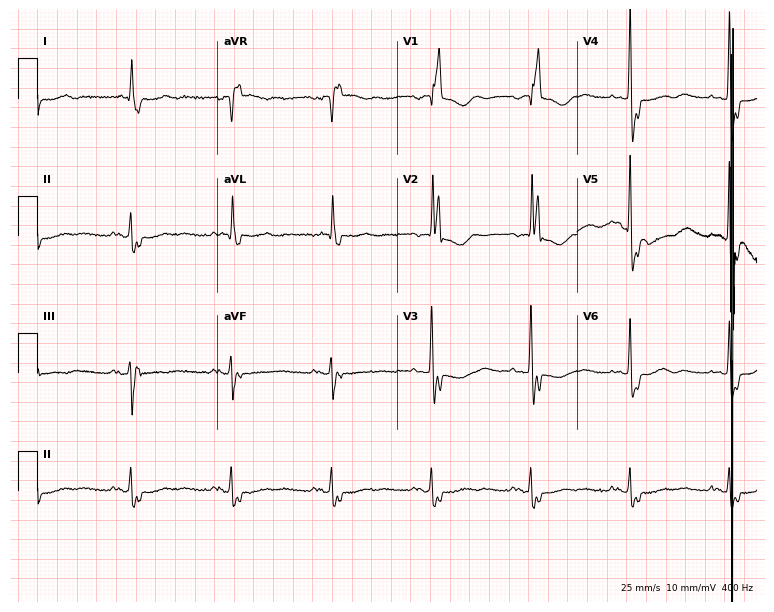
Resting 12-lead electrocardiogram (7.3-second recording at 400 Hz). Patient: an 80-year-old female. The tracing shows right bundle branch block.